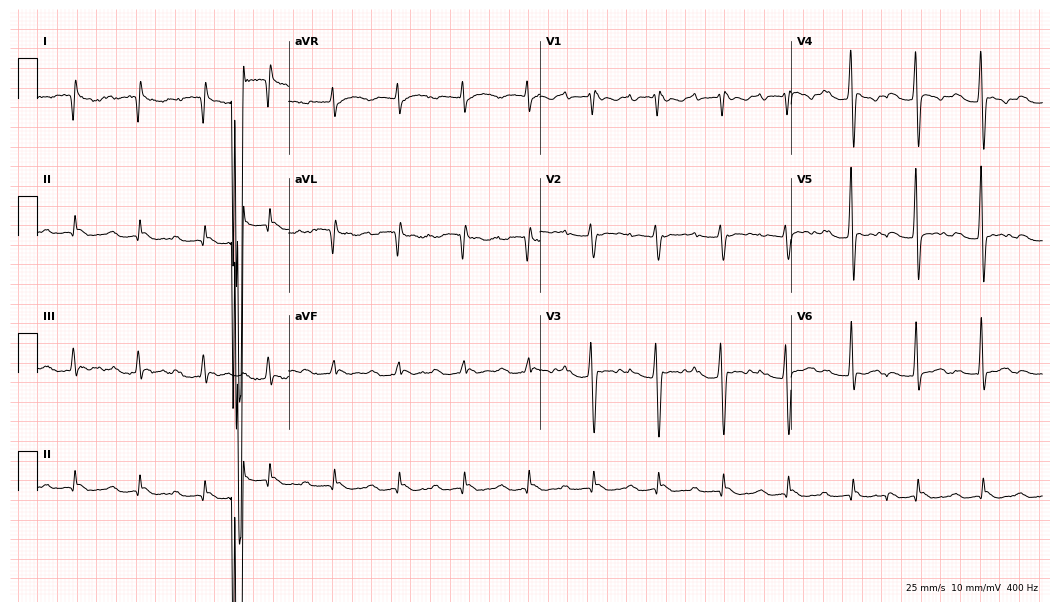
Electrocardiogram, a male, 52 years old. Interpretation includes first-degree AV block.